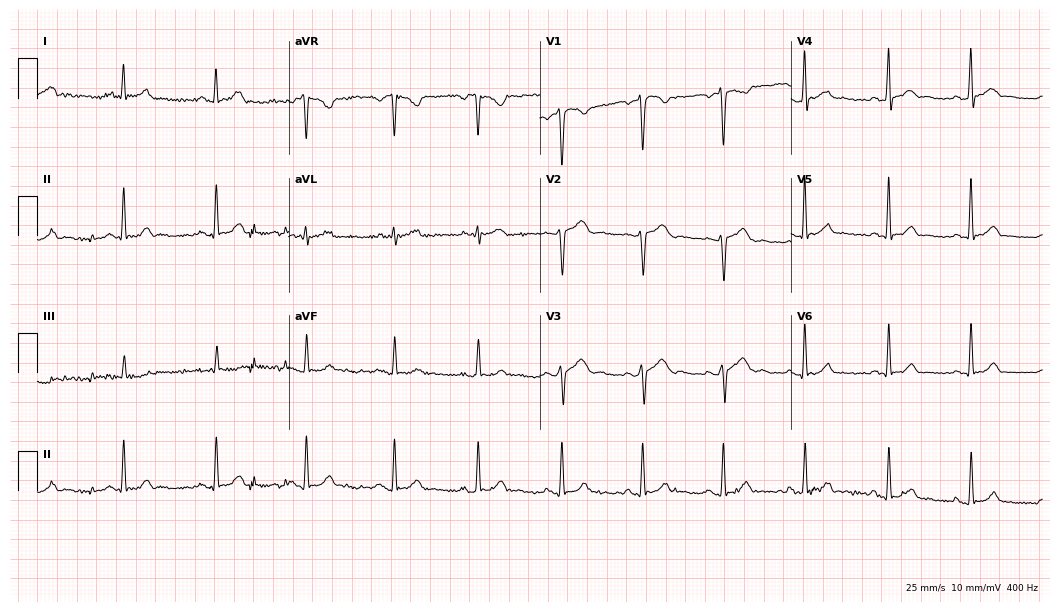
Standard 12-lead ECG recorded from a male, 26 years old (10.2-second recording at 400 Hz). Read as a normal ECG.